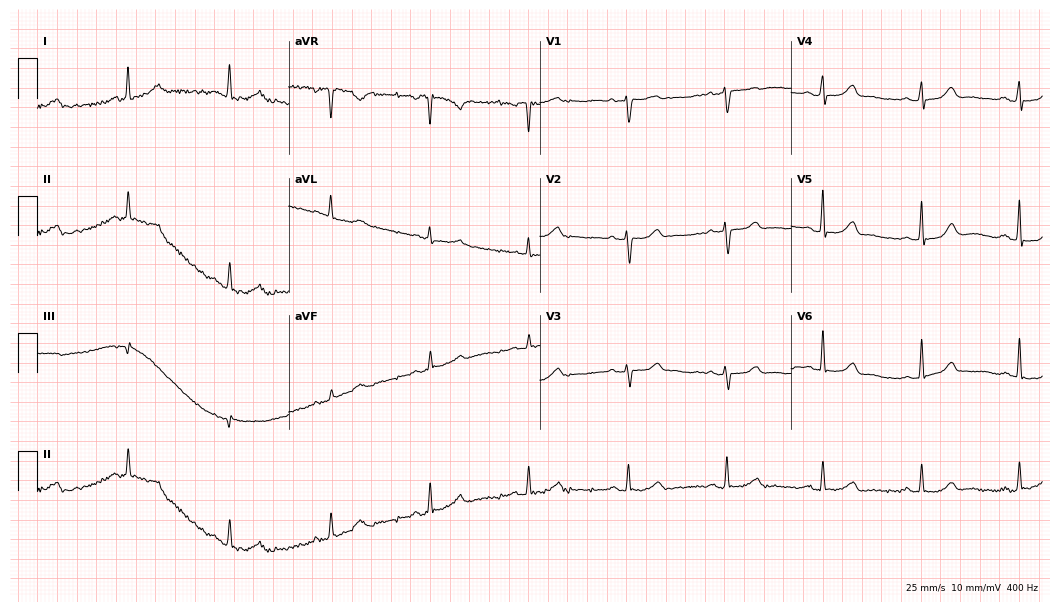
Electrocardiogram (10.2-second recording at 400 Hz), a female patient, 48 years old. Overall reading on record: normal ECG.